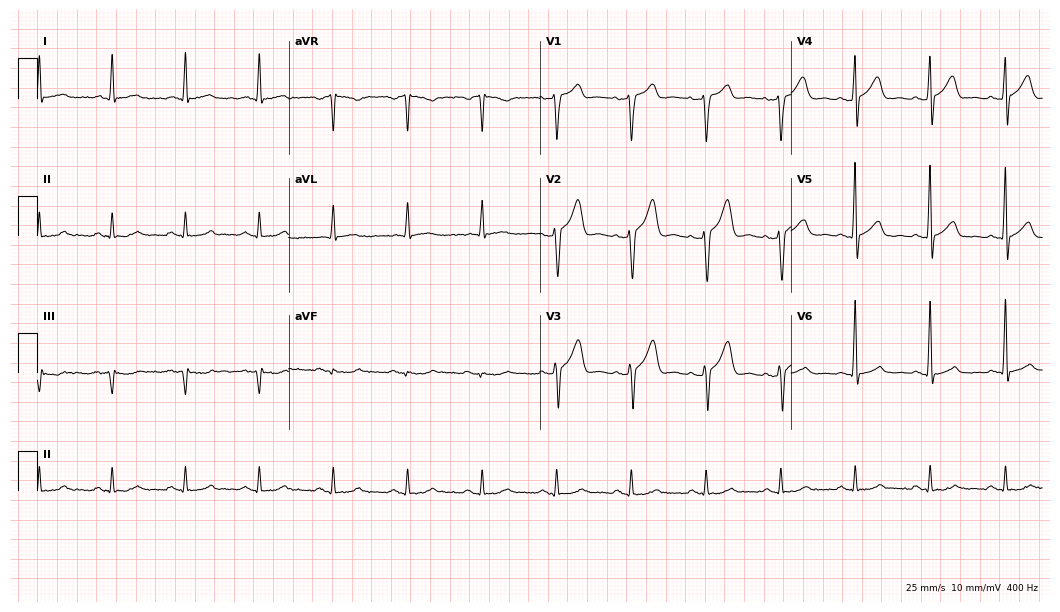
12-lead ECG from a man, 52 years old. No first-degree AV block, right bundle branch block (RBBB), left bundle branch block (LBBB), sinus bradycardia, atrial fibrillation (AF) or sinus tachycardia recorded for this tracing. Only these six findings were labelled.